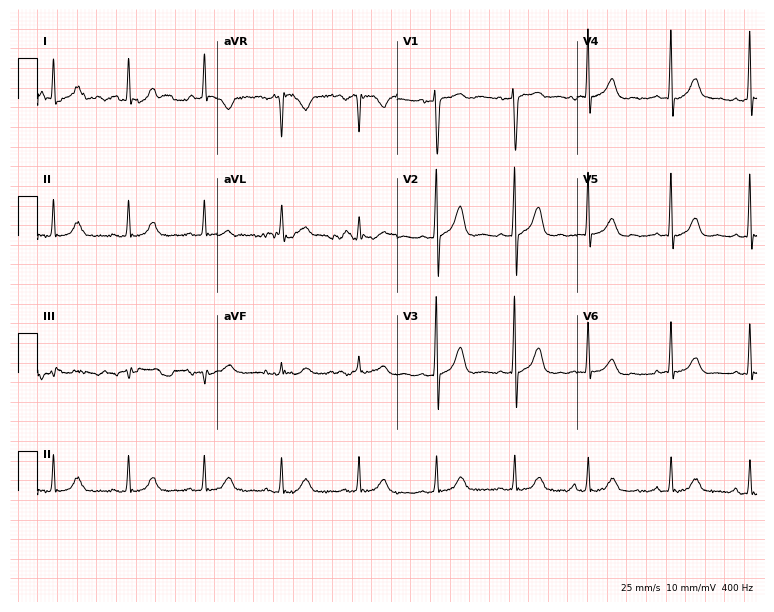
ECG — a woman, 79 years old. Screened for six findings — first-degree AV block, right bundle branch block, left bundle branch block, sinus bradycardia, atrial fibrillation, sinus tachycardia — none is recorded. Only these six findings were labelled.